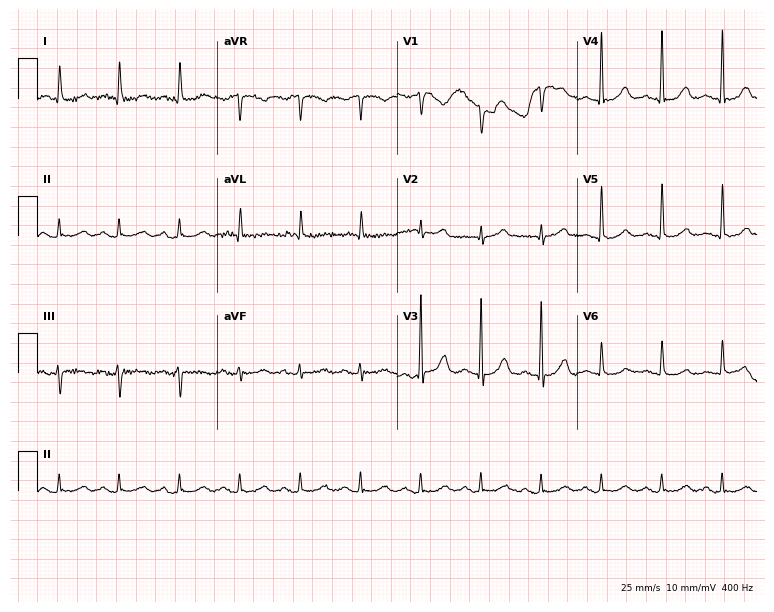
12-lead ECG from an 85-year-old male patient. Recorded interpretation: within normal limits.